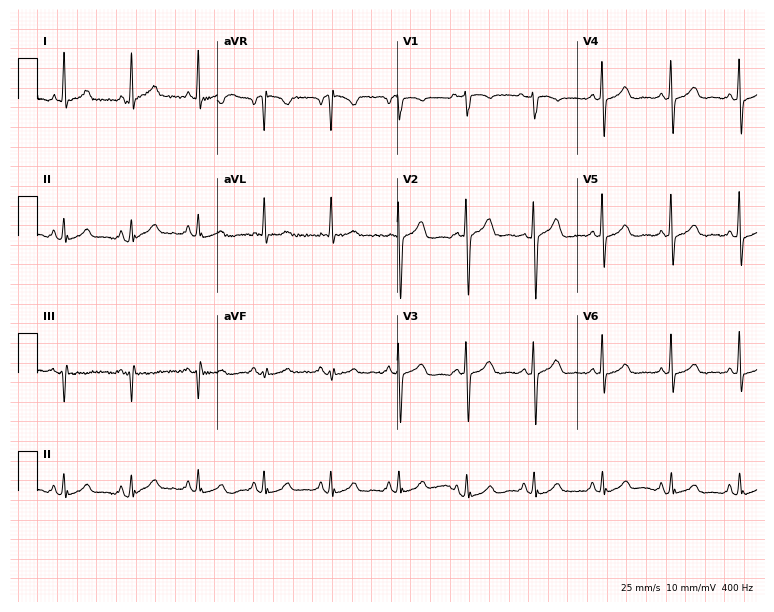
Resting 12-lead electrocardiogram. Patient: a 68-year-old female. Read as a normal ECG.